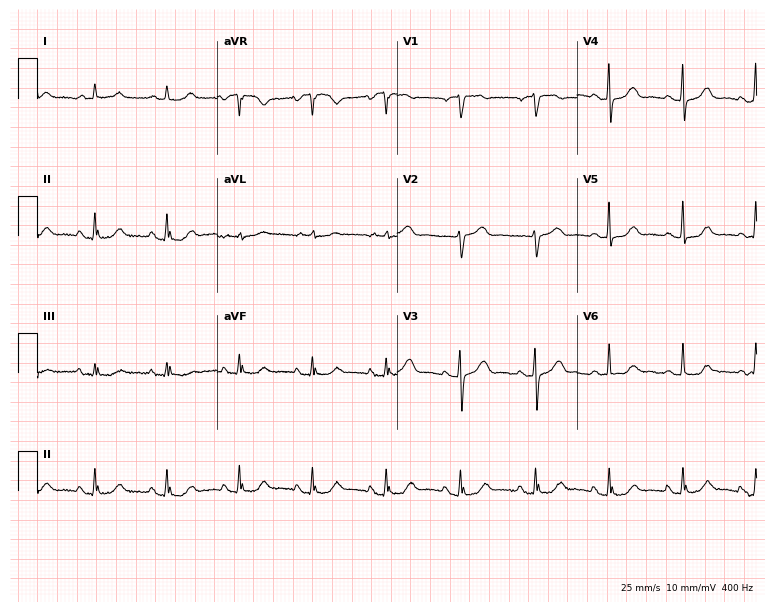
12-lead ECG (7.3-second recording at 400 Hz) from an 82-year-old female. Labelled as a normal ECG.